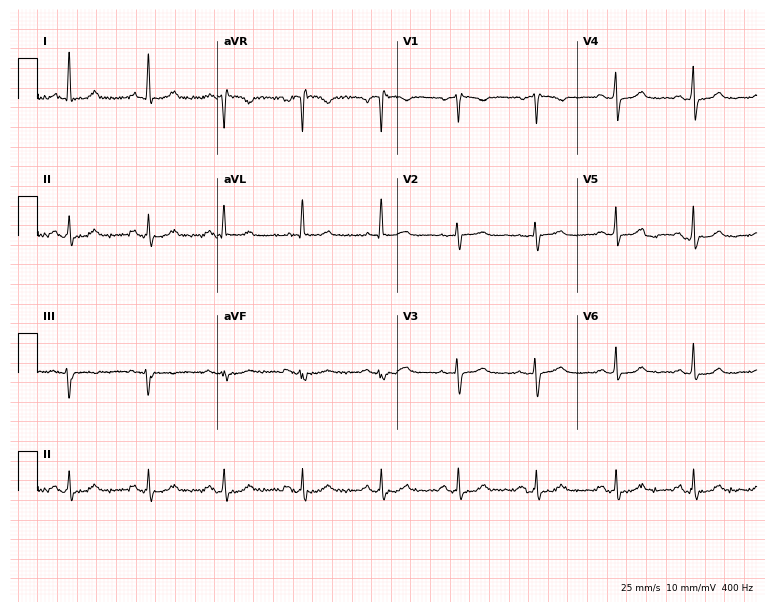
12-lead ECG from a 68-year-old woman. Recorded interpretation: within normal limits.